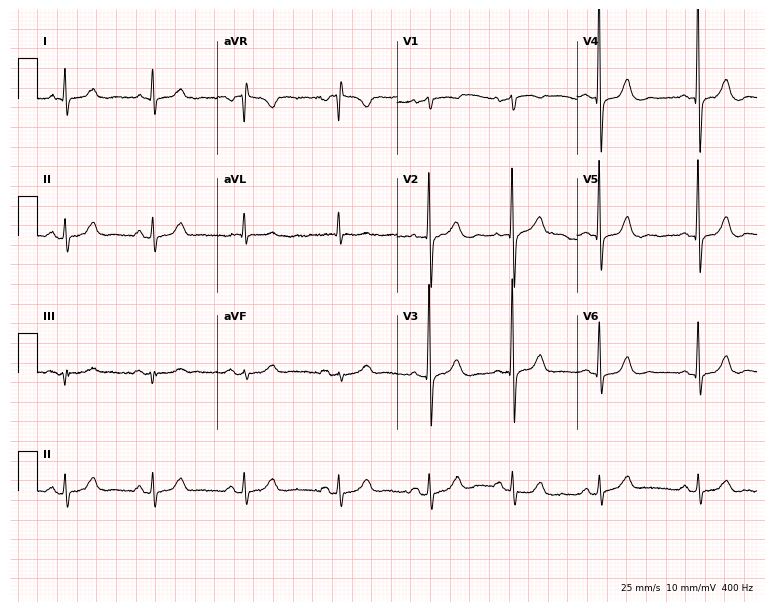
12-lead ECG from a female, 69 years old (7.3-second recording at 400 Hz). No first-degree AV block, right bundle branch block, left bundle branch block, sinus bradycardia, atrial fibrillation or sinus tachycardia recorded for this tracing.